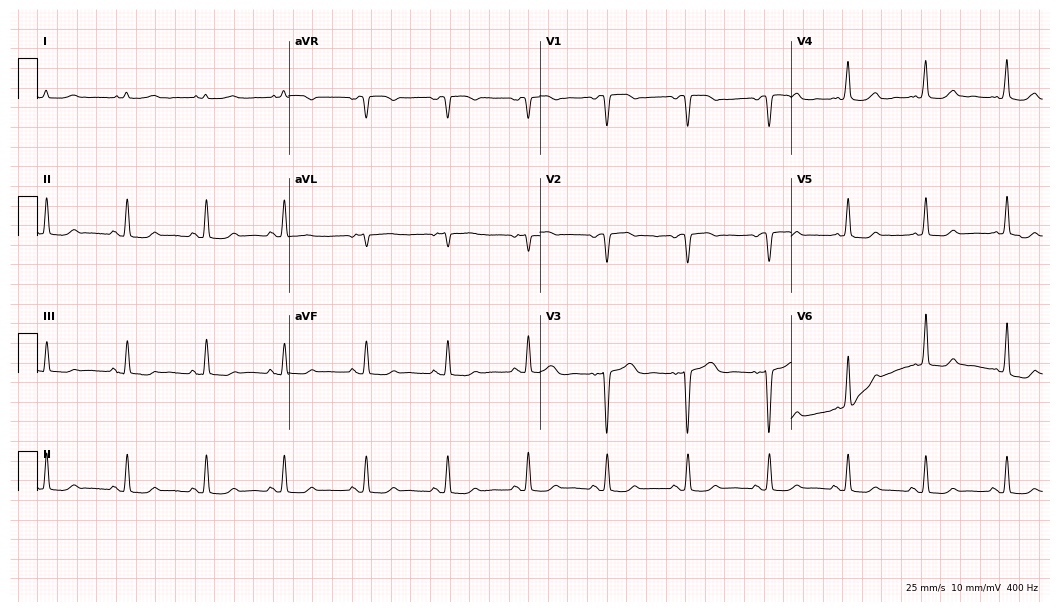
12-lead ECG from an 81-year-old female patient (10.2-second recording at 400 Hz). No first-degree AV block, right bundle branch block, left bundle branch block, sinus bradycardia, atrial fibrillation or sinus tachycardia recorded for this tracing.